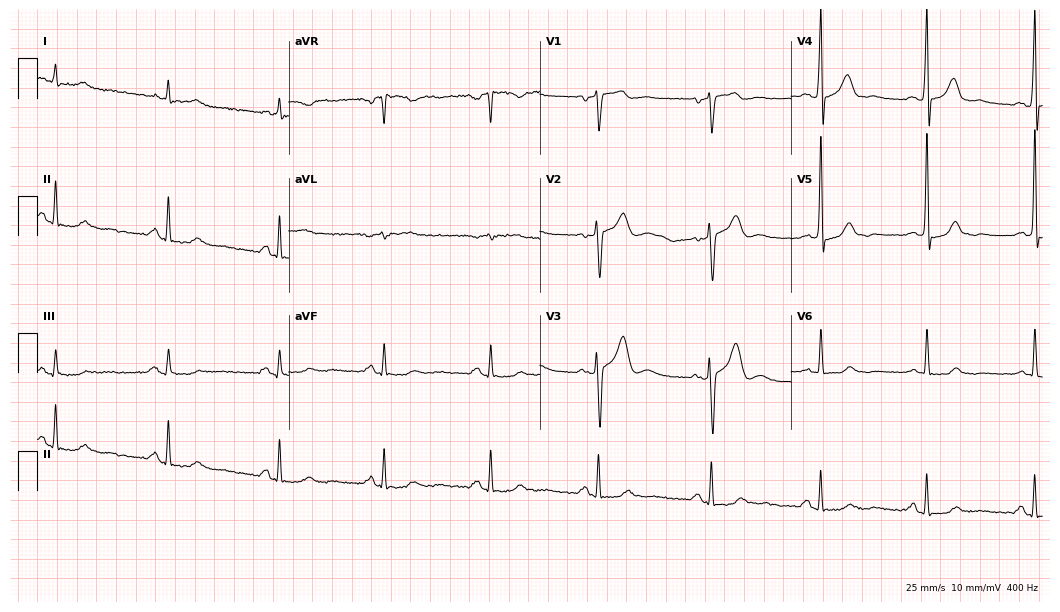
Standard 12-lead ECG recorded from a 58-year-old male. Read as a normal ECG.